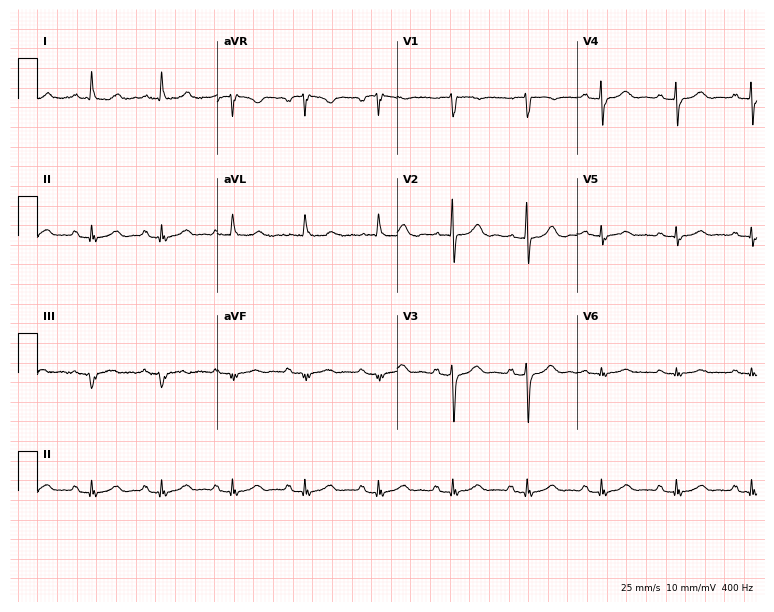
Standard 12-lead ECG recorded from a female, 82 years old (7.3-second recording at 400 Hz). None of these six findings is recorded: first-degree AV block, right bundle branch block, left bundle branch block, sinus bradycardia, atrial fibrillation, sinus tachycardia. Only these six findings were labelled.